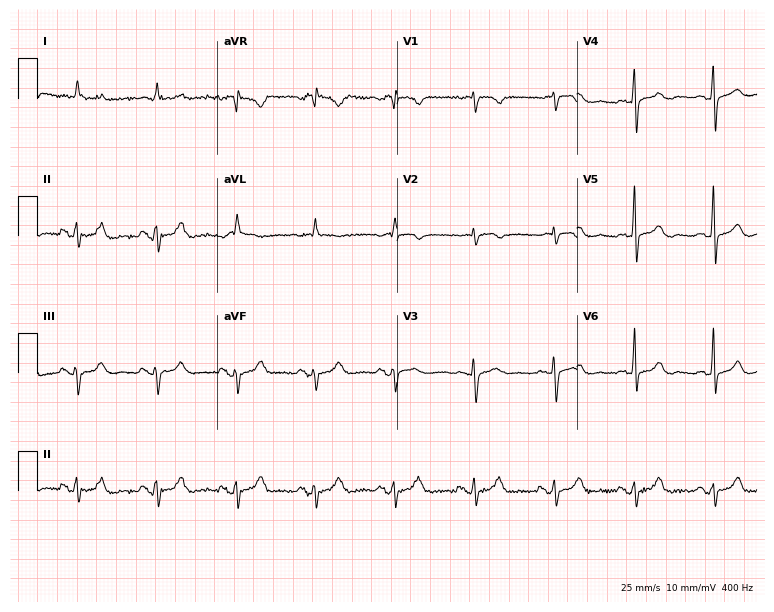
Electrocardiogram (7.3-second recording at 400 Hz), an 81-year-old female patient. Of the six screened findings (first-degree AV block, right bundle branch block, left bundle branch block, sinus bradycardia, atrial fibrillation, sinus tachycardia), none is recorded. Other findings, if any, are not listed.